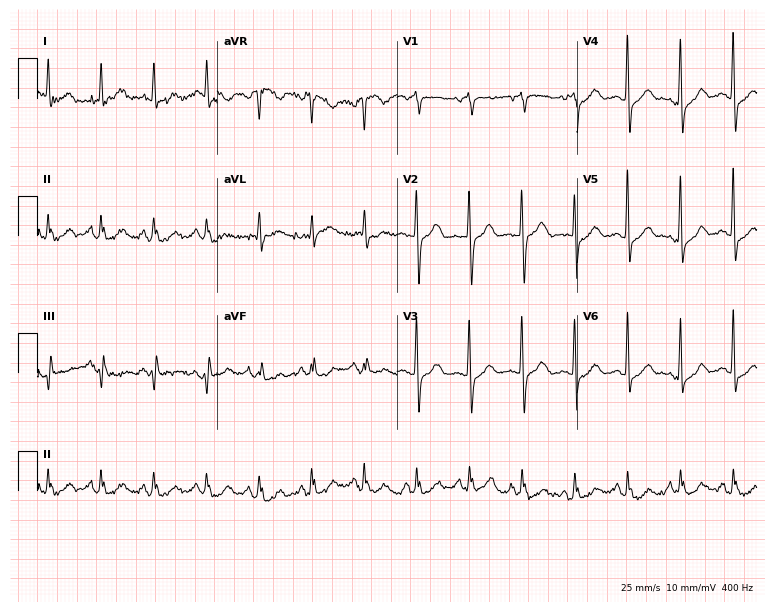
Electrocardiogram (7.3-second recording at 400 Hz), a female, 74 years old. Interpretation includes sinus tachycardia (a sinus rate of 100 beats per minute or more).